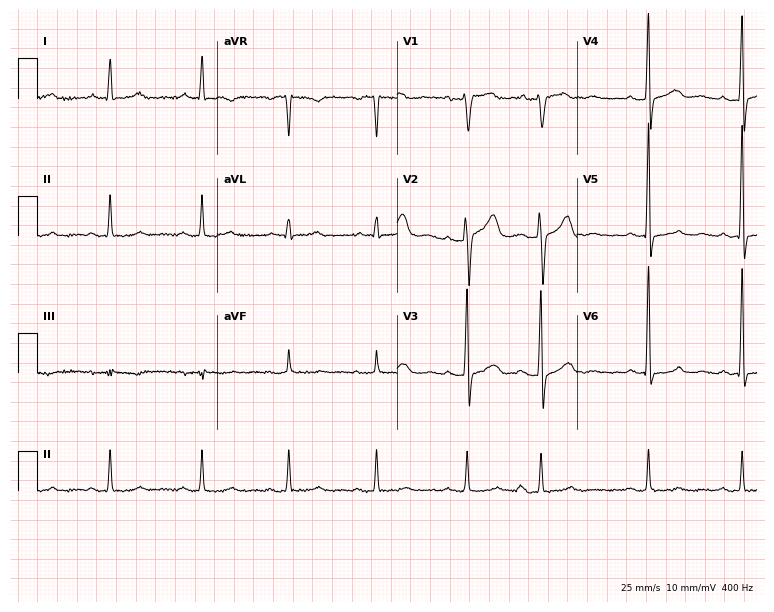
Electrocardiogram, a female, 57 years old. Of the six screened findings (first-degree AV block, right bundle branch block, left bundle branch block, sinus bradycardia, atrial fibrillation, sinus tachycardia), none is recorded.